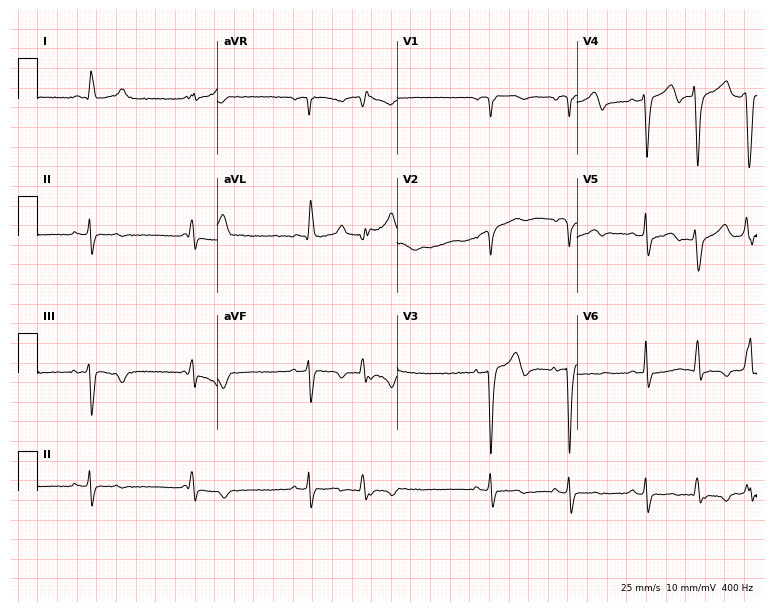
12-lead ECG from an 85-year-old male patient. Screened for six findings — first-degree AV block, right bundle branch block, left bundle branch block, sinus bradycardia, atrial fibrillation, sinus tachycardia — none is recorded. Findings outside these six are not listed.